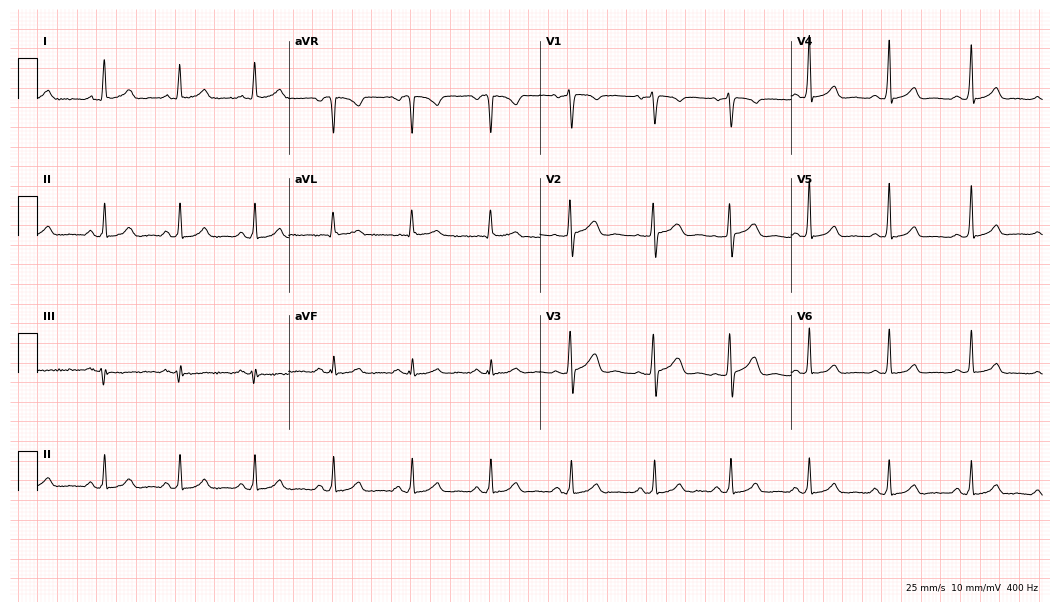
12-lead ECG from a 31-year-old woman. Labelled as a normal ECG.